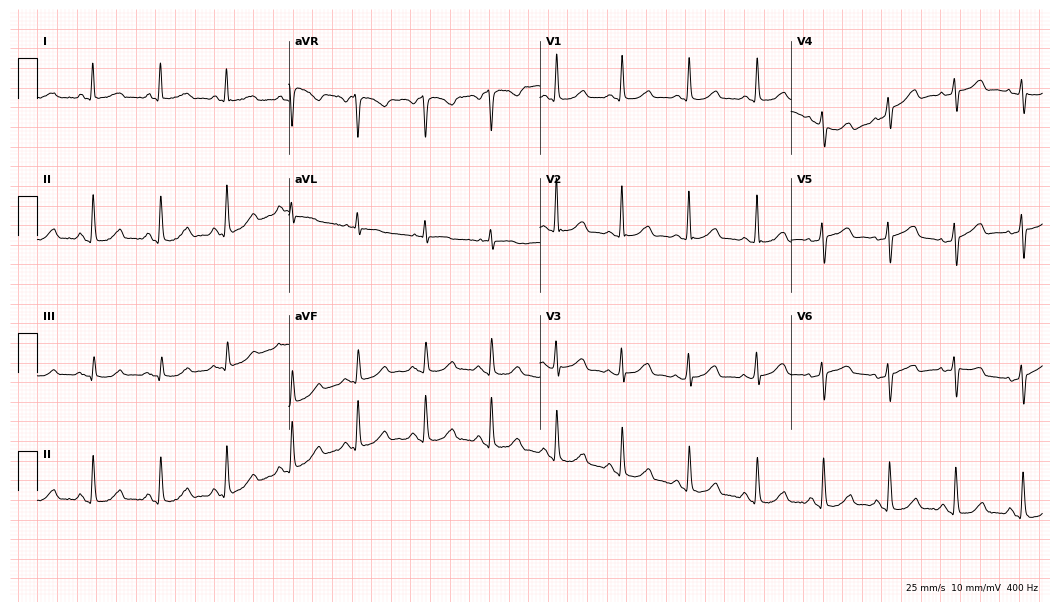
Standard 12-lead ECG recorded from a female patient, 68 years old (10.2-second recording at 400 Hz). Read as a normal ECG.